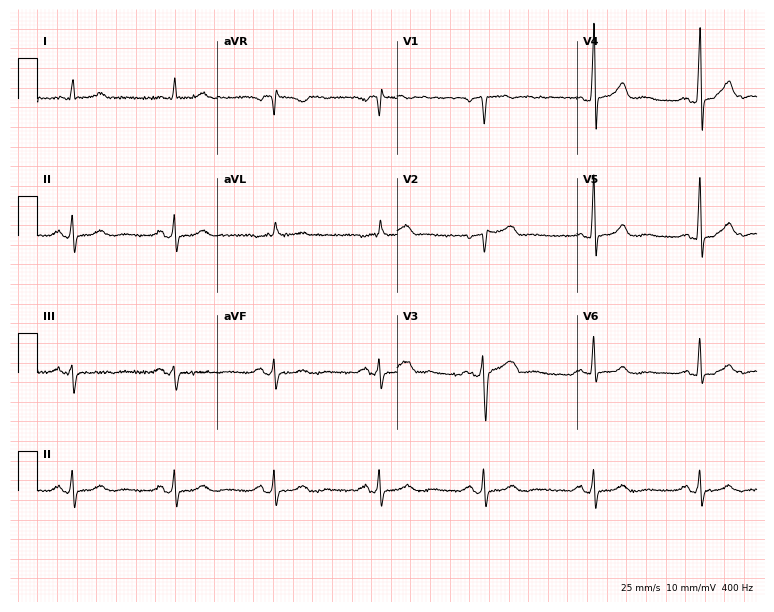
Standard 12-lead ECG recorded from a man, 39 years old. Read as a normal ECG.